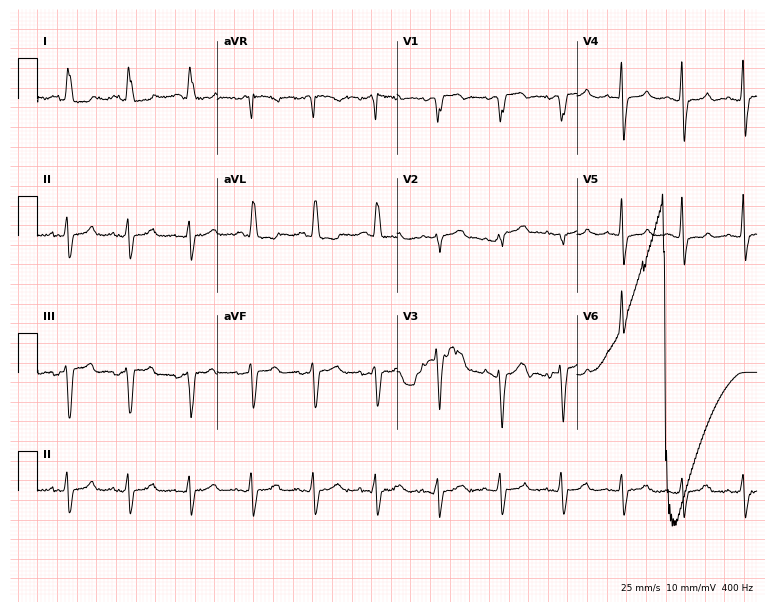
Electrocardiogram, a woman, 80 years old. Of the six screened findings (first-degree AV block, right bundle branch block (RBBB), left bundle branch block (LBBB), sinus bradycardia, atrial fibrillation (AF), sinus tachycardia), none is recorded.